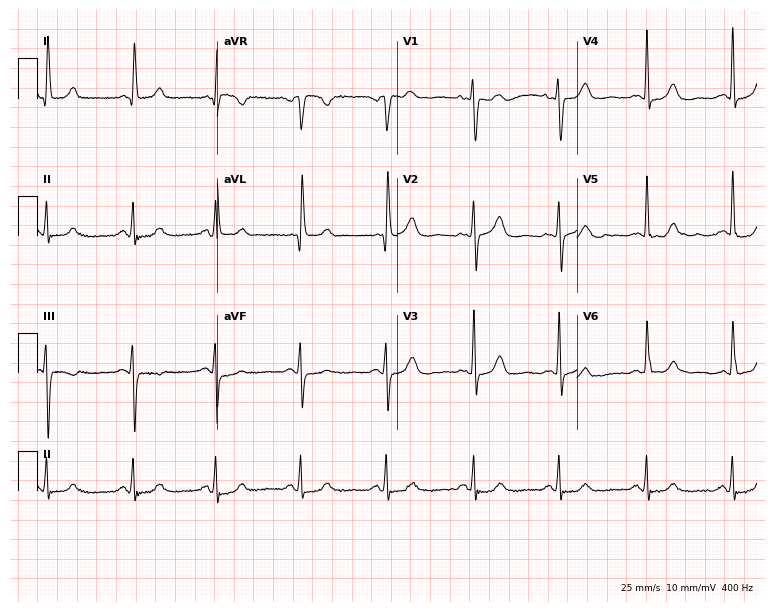
12-lead ECG from a woman, 68 years old. Labelled as a normal ECG.